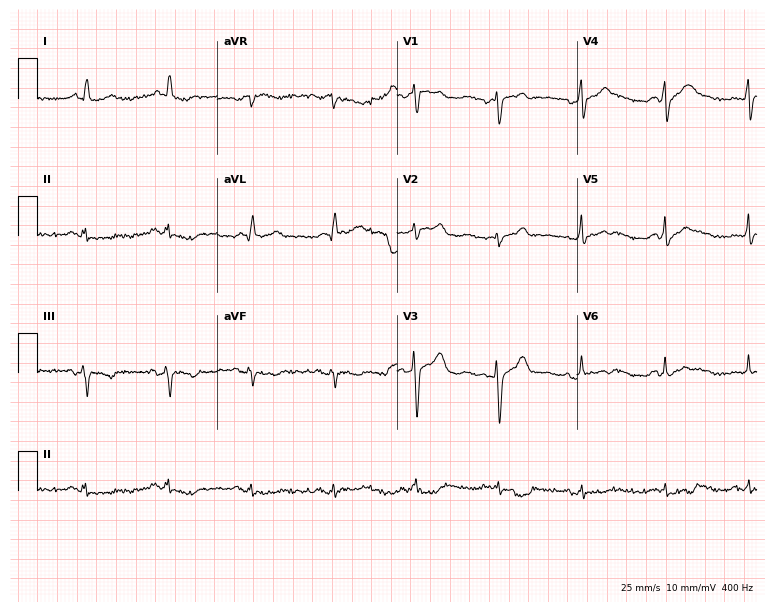
12-lead ECG from a male, 82 years old. Screened for six findings — first-degree AV block, right bundle branch block (RBBB), left bundle branch block (LBBB), sinus bradycardia, atrial fibrillation (AF), sinus tachycardia — none is recorded.